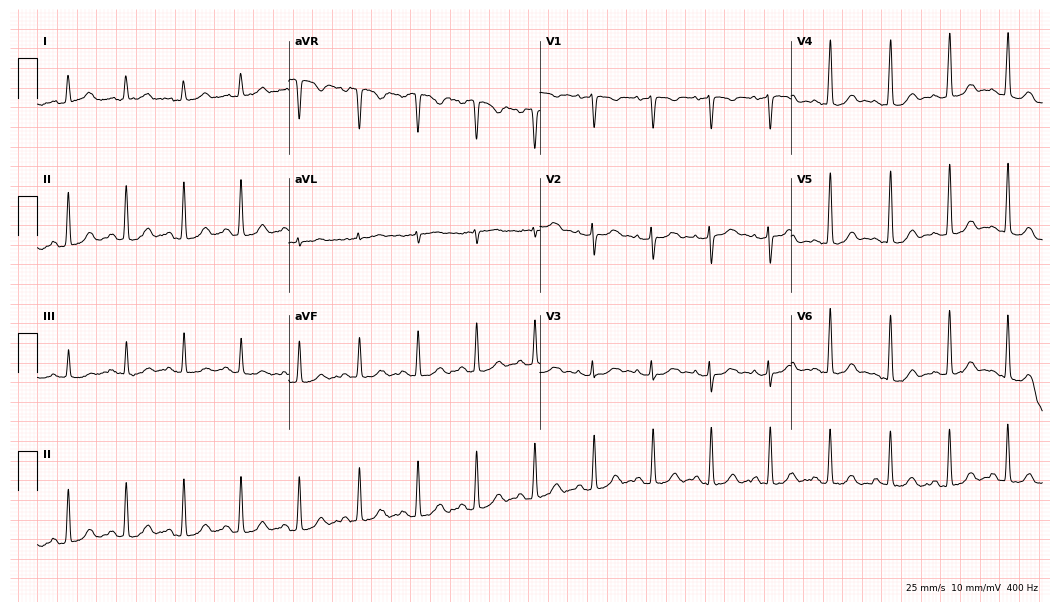
Electrocardiogram (10.2-second recording at 400 Hz), a female, 38 years old. Of the six screened findings (first-degree AV block, right bundle branch block, left bundle branch block, sinus bradycardia, atrial fibrillation, sinus tachycardia), none is recorded. Findings outside these six are not listed.